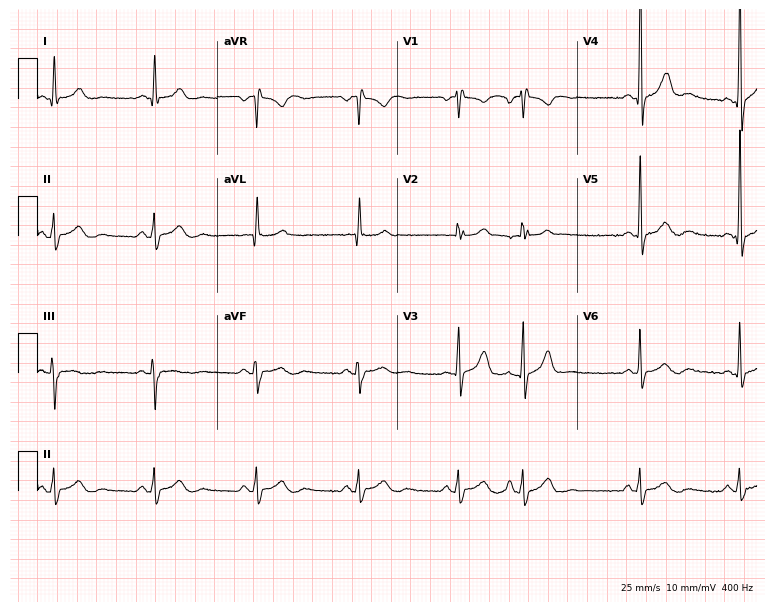
Standard 12-lead ECG recorded from a male patient, 44 years old (7.3-second recording at 400 Hz). None of these six findings is recorded: first-degree AV block, right bundle branch block (RBBB), left bundle branch block (LBBB), sinus bradycardia, atrial fibrillation (AF), sinus tachycardia.